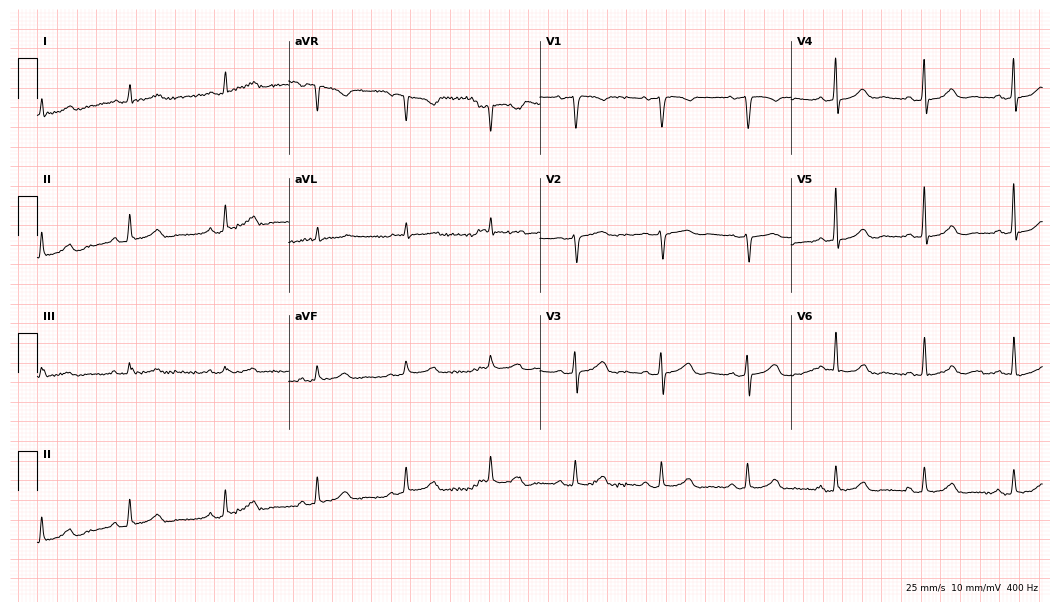
Electrocardiogram, a 46-year-old woman. Of the six screened findings (first-degree AV block, right bundle branch block (RBBB), left bundle branch block (LBBB), sinus bradycardia, atrial fibrillation (AF), sinus tachycardia), none is recorded. Other findings, if any, are not listed.